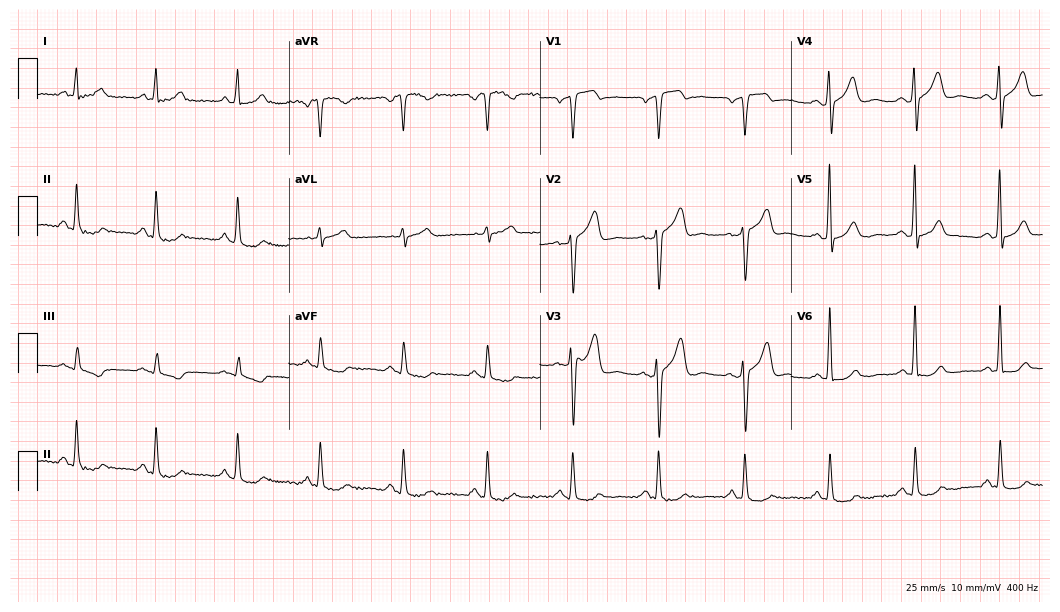
Electrocardiogram (10.2-second recording at 400 Hz), a 63-year-old male. Of the six screened findings (first-degree AV block, right bundle branch block, left bundle branch block, sinus bradycardia, atrial fibrillation, sinus tachycardia), none is recorded. Findings outside these six are not listed.